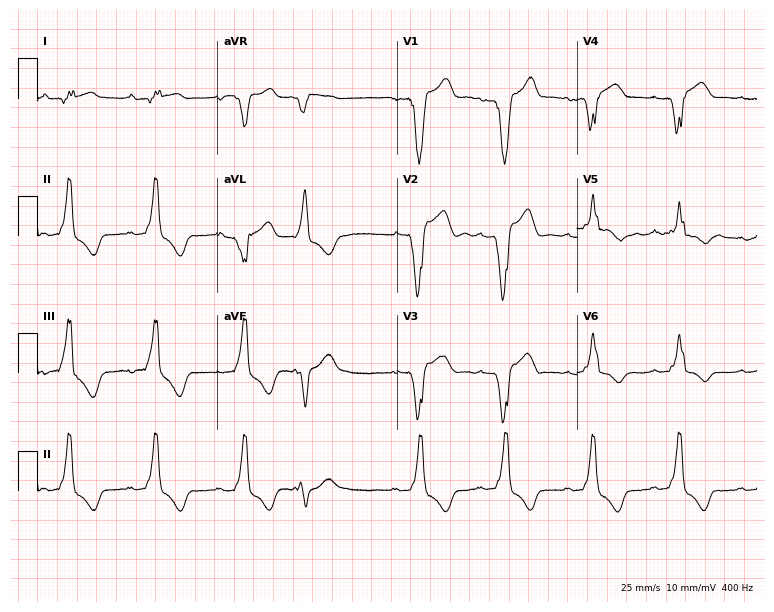
12-lead ECG from a woman, 32 years old. Findings include left bundle branch block (LBBB).